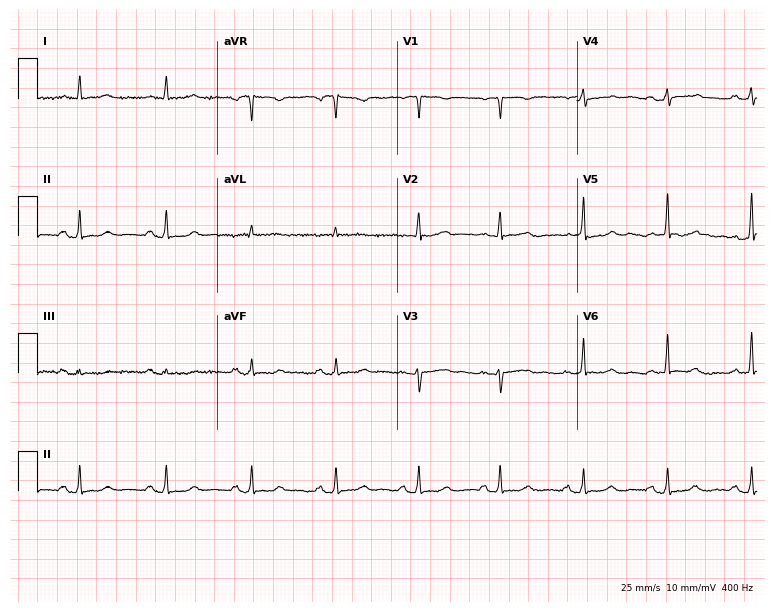
Resting 12-lead electrocardiogram (7.3-second recording at 400 Hz). Patient: a female, 61 years old. Read as a normal ECG.